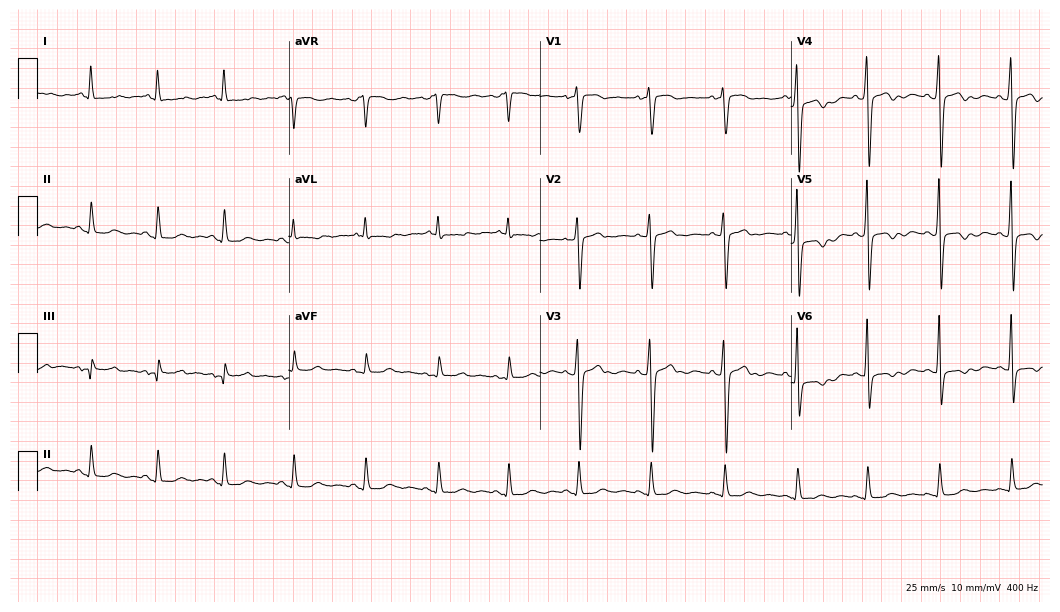
Resting 12-lead electrocardiogram. Patient: a 53-year-old woman. Read as a normal ECG.